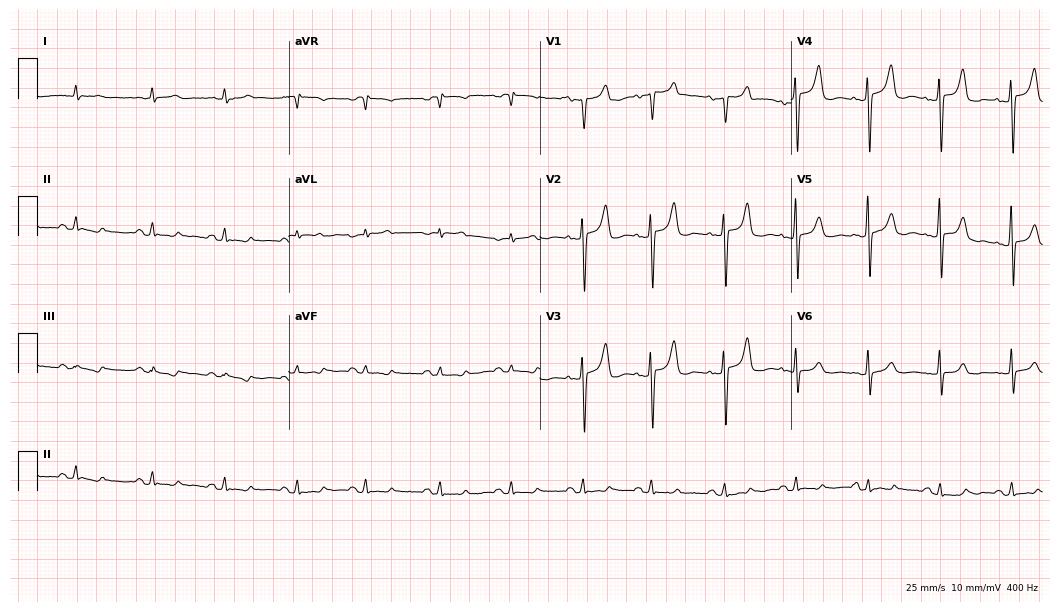
12-lead ECG from an 85-year-old male. No first-degree AV block, right bundle branch block, left bundle branch block, sinus bradycardia, atrial fibrillation or sinus tachycardia recorded for this tracing.